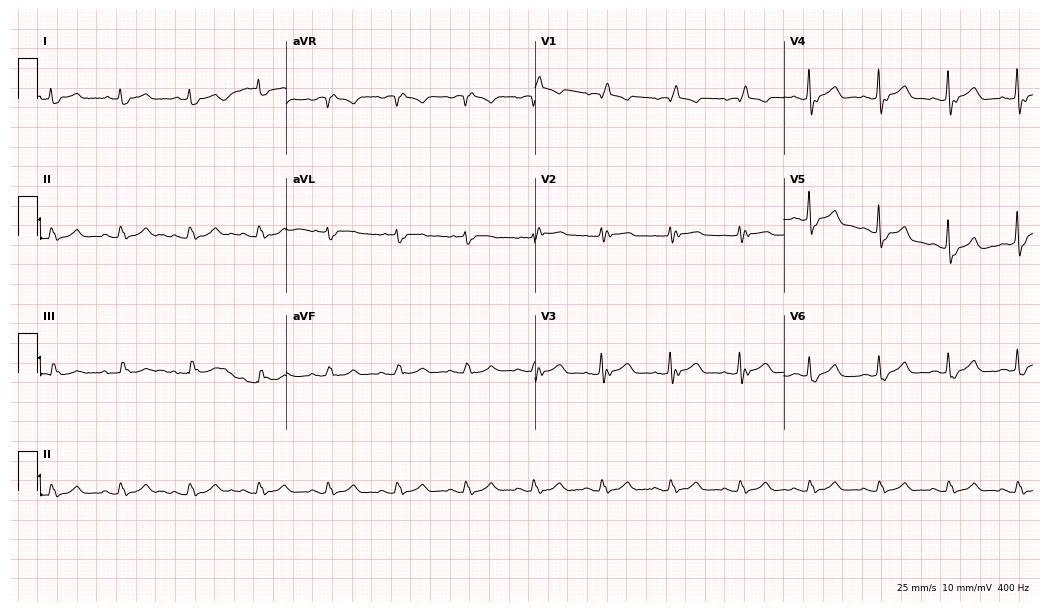
Electrocardiogram, a male, 84 years old. Interpretation includes right bundle branch block.